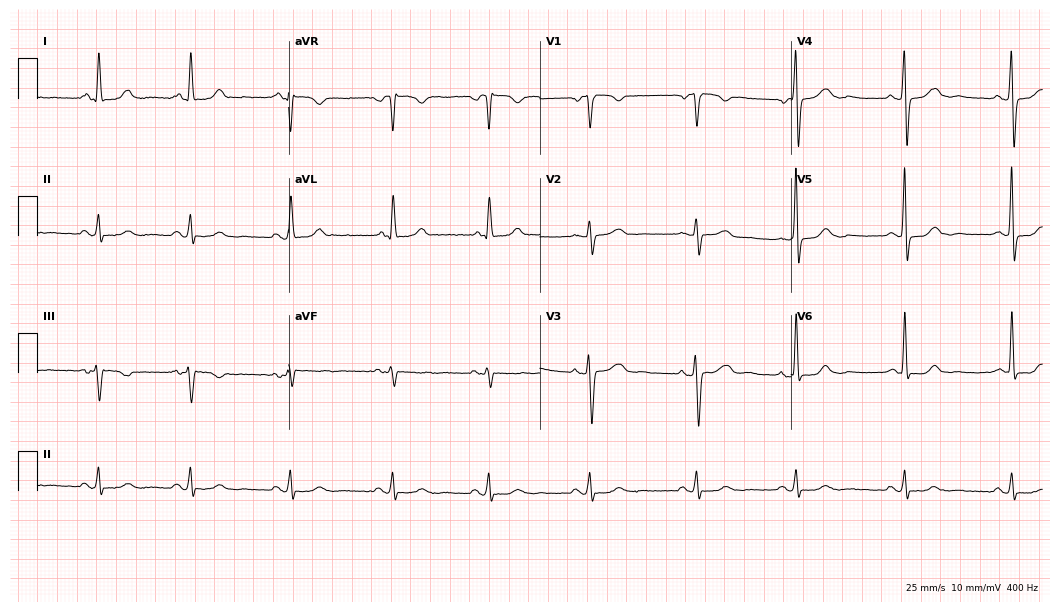
12-lead ECG from a 55-year-old female (10.2-second recording at 400 Hz). Recorded interpretation: within normal limits.